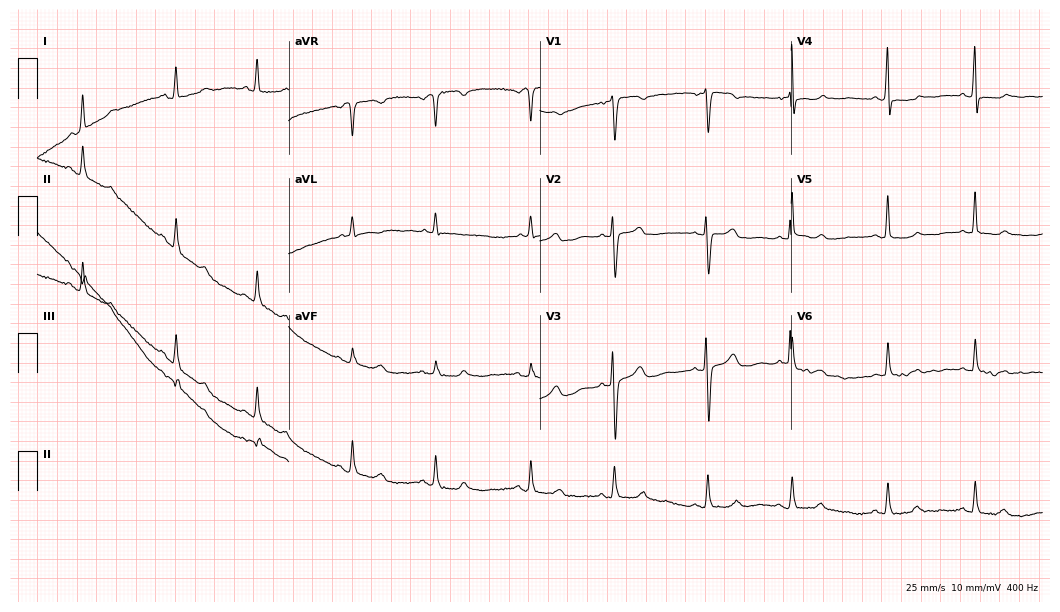
ECG — a female patient, 71 years old. Labelled as a normal ECG.